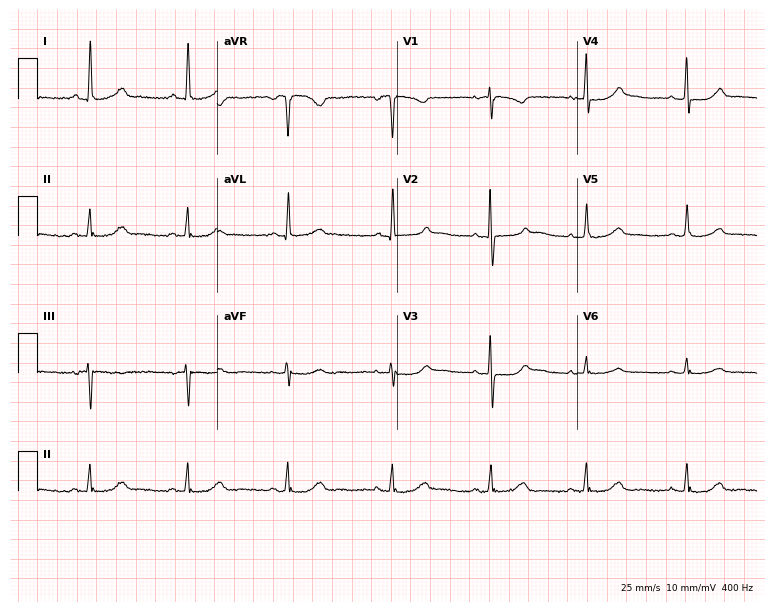
12-lead ECG from a female, 62 years old. Recorded interpretation: within normal limits.